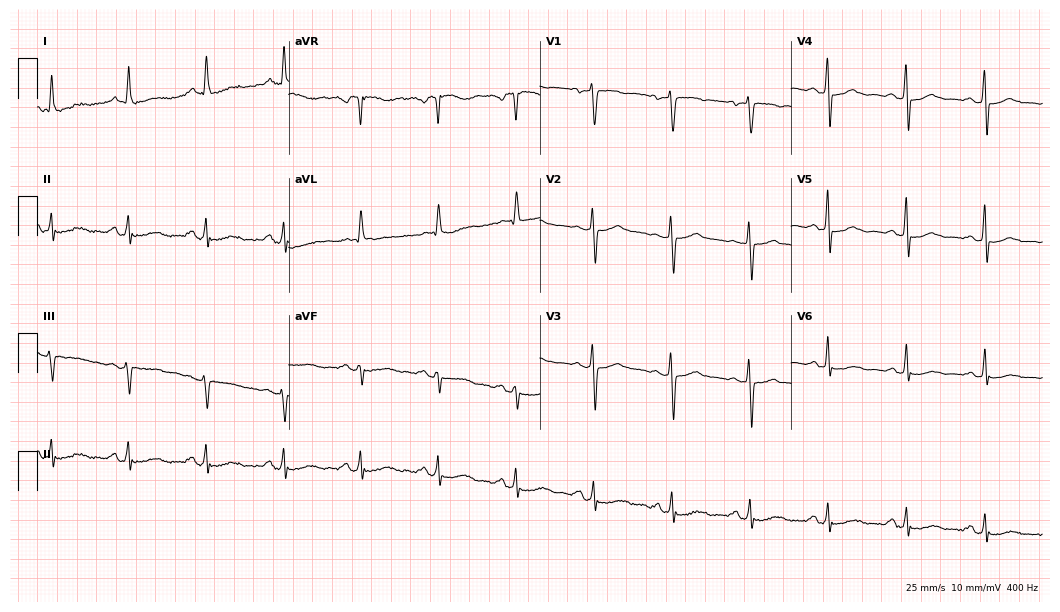
ECG — a female, 58 years old. Screened for six findings — first-degree AV block, right bundle branch block (RBBB), left bundle branch block (LBBB), sinus bradycardia, atrial fibrillation (AF), sinus tachycardia — none is recorded.